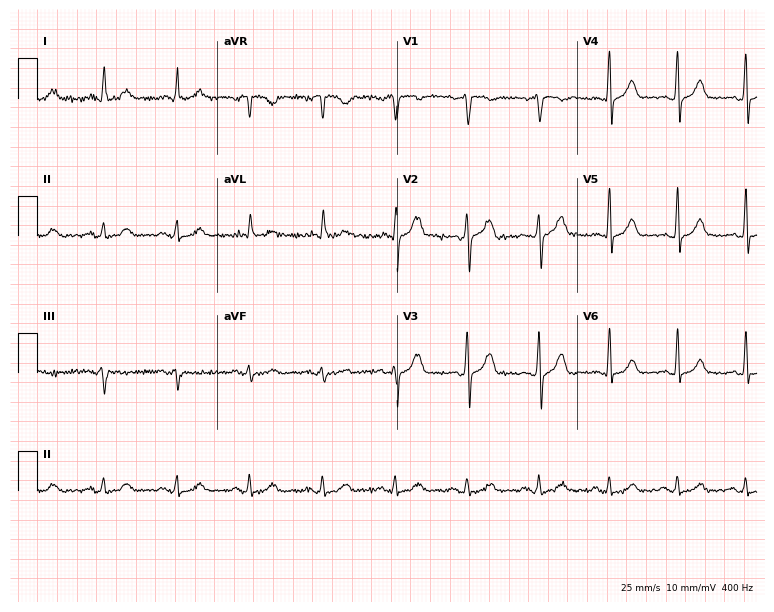
12-lead ECG from a 57-year-old man. Screened for six findings — first-degree AV block, right bundle branch block, left bundle branch block, sinus bradycardia, atrial fibrillation, sinus tachycardia — none is recorded. Findings outside these six are not listed.